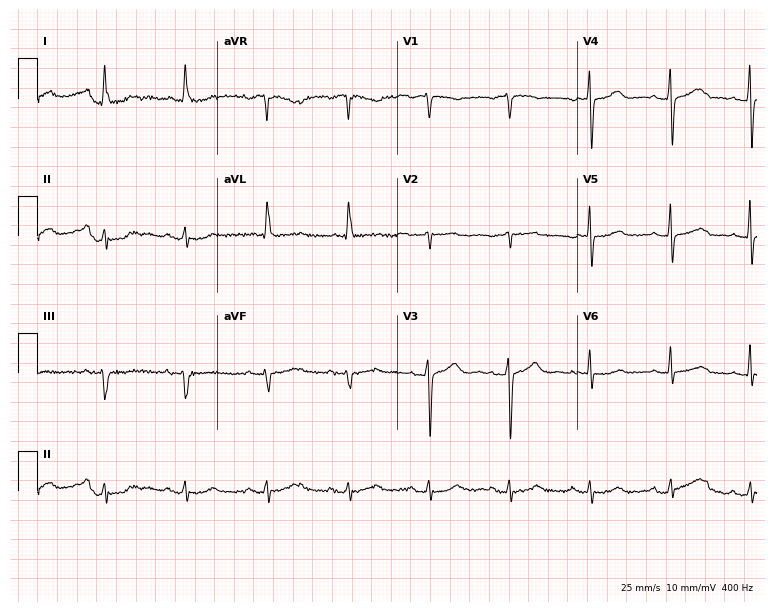
12-lead ECG (7.3-second recording at 400 Hz) from a female patient, 82 years old. Screened for six findings — first-degree AV block, right bundle branch block, left bundle branch block, sinus bradycardia, atrial fibrillation, sinus tachycardia — none is recorded.